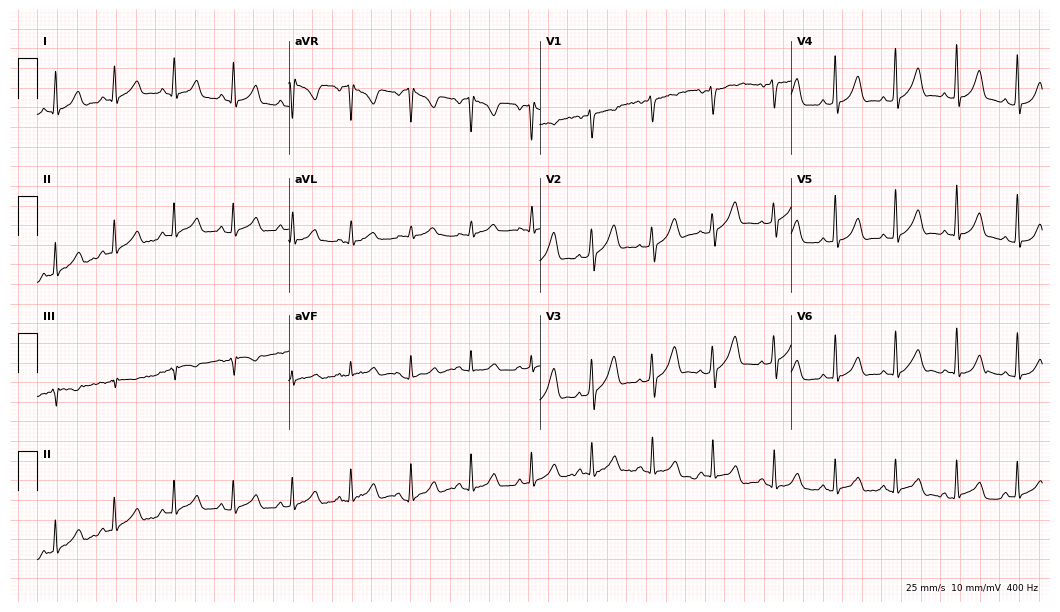
Resting 12-lead electrocardiogram. Patient: a 38-year-old female. Read as a normal ECG.